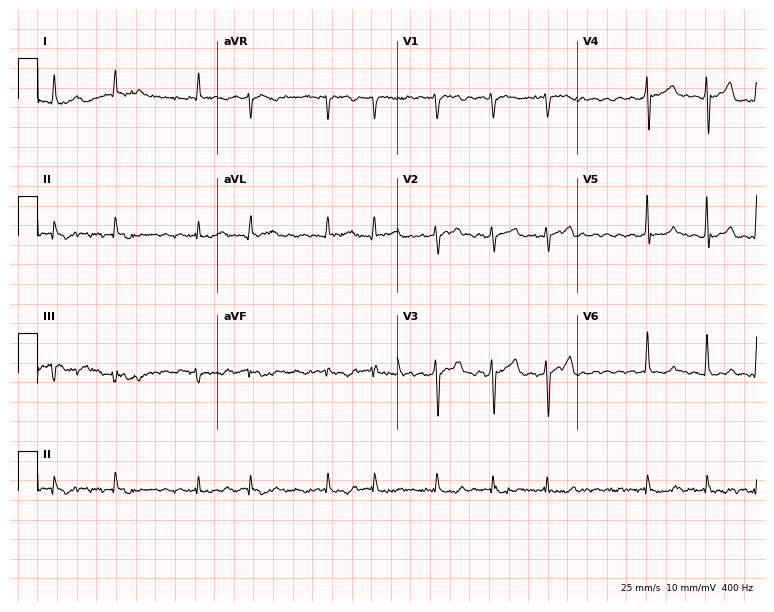
12-lead ECG from a 64-year-old male (7.3-second recording at 400 Hz). Shows atrial fibrillation.